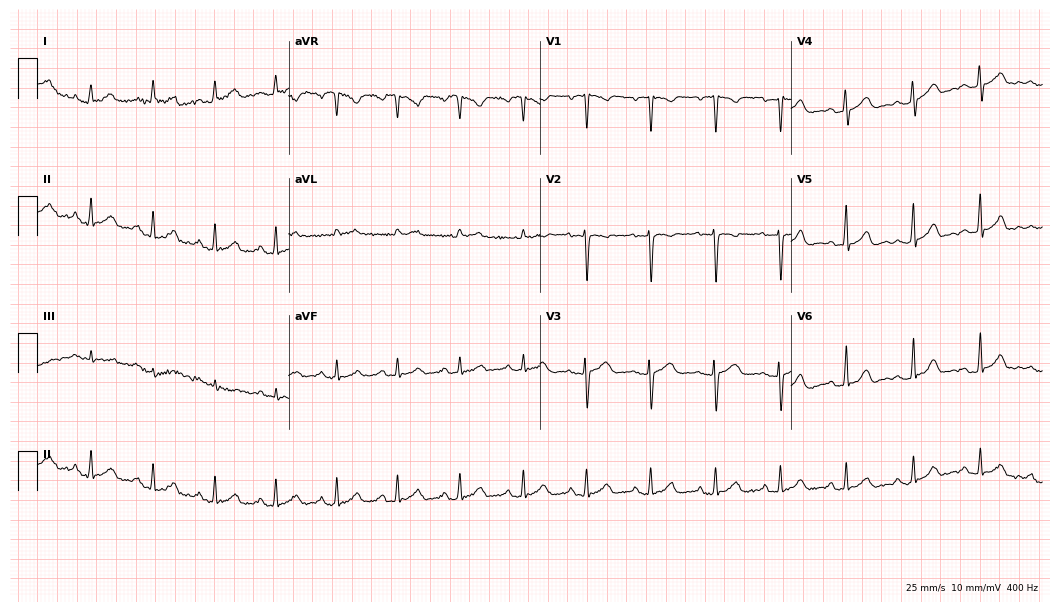
Resting 12-lead electrocardiogram. Patient: a woman, 32 years old. None of these six findings is recorded: first-degree AV block, right bundle branch block, left bundle branch block, sinus bradycardia, atrial fibrillation, sinus tachycardia.